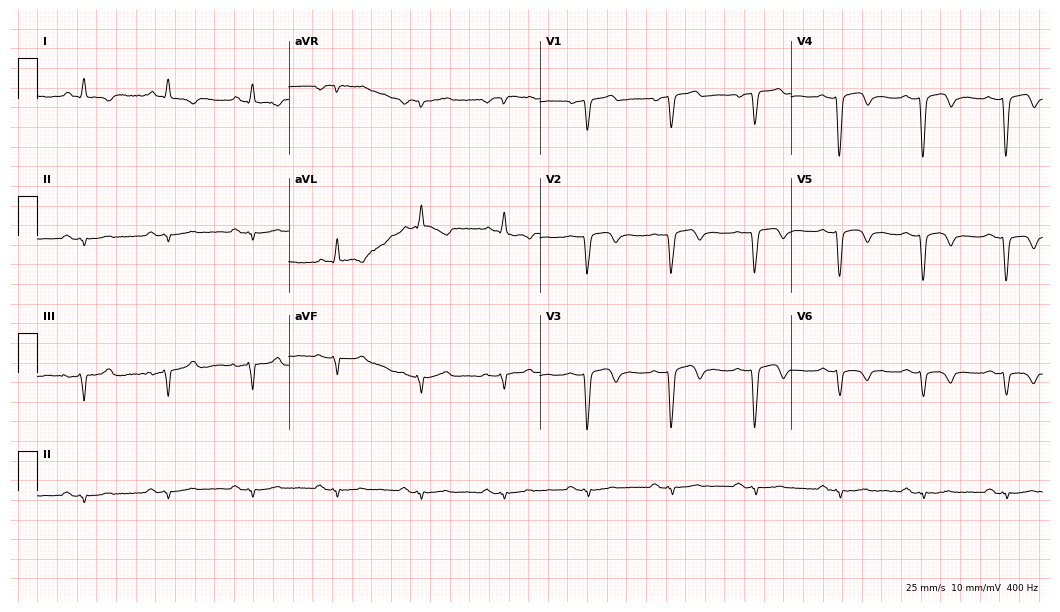
12-lead ECG from a male patient, 71 years old (10.2-second recording at 400 Hz). No first-degree AV block, right bundle branch block, left bundle branch block, sinus bradycardia, atrial fibrillation or sinus tachycardia recorded for this tracing.